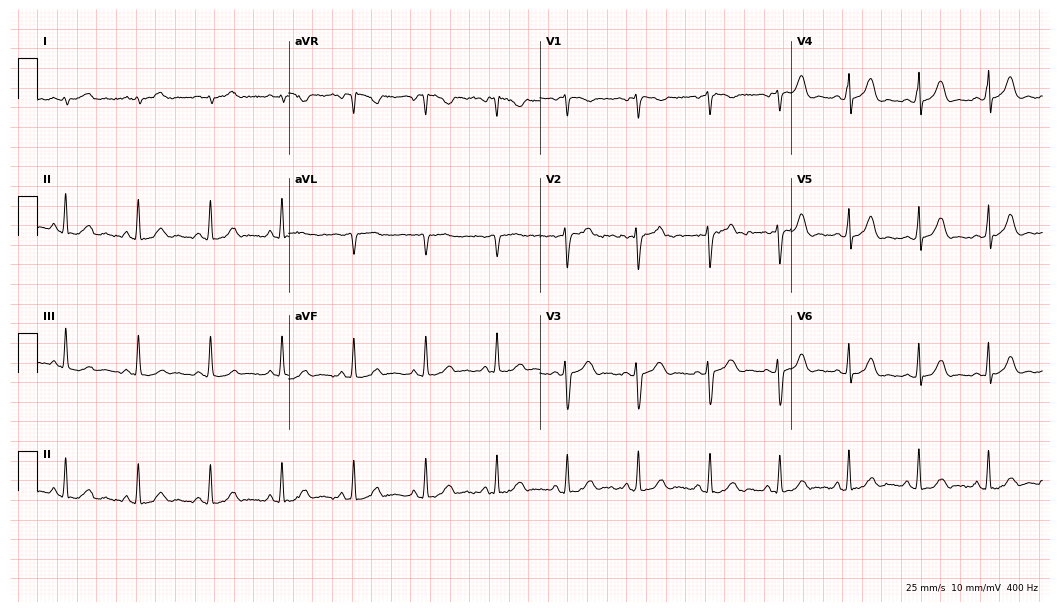
Electrocardiogram (10.2-second recording at 400 Hz), a woman, 35 years old. Of the six screened findings (first-degree AV block, right bundle branch block, left bundle branch block, sinus bradycardia, atrial fibrillation, sinus tachycardia), none is recorded. Only these six findings were labelled.